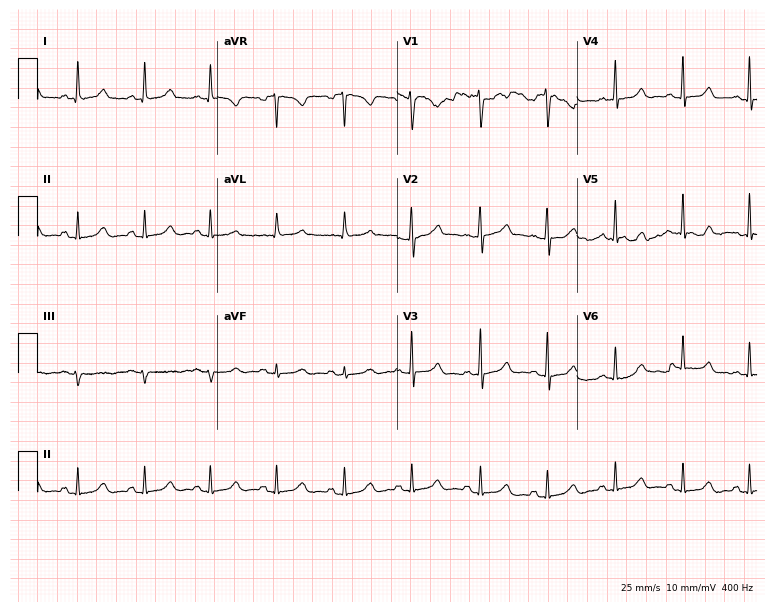
Resting 12-lead electrocardiogram. Patient: a 29-year-old woman. Read as a normal ECG.